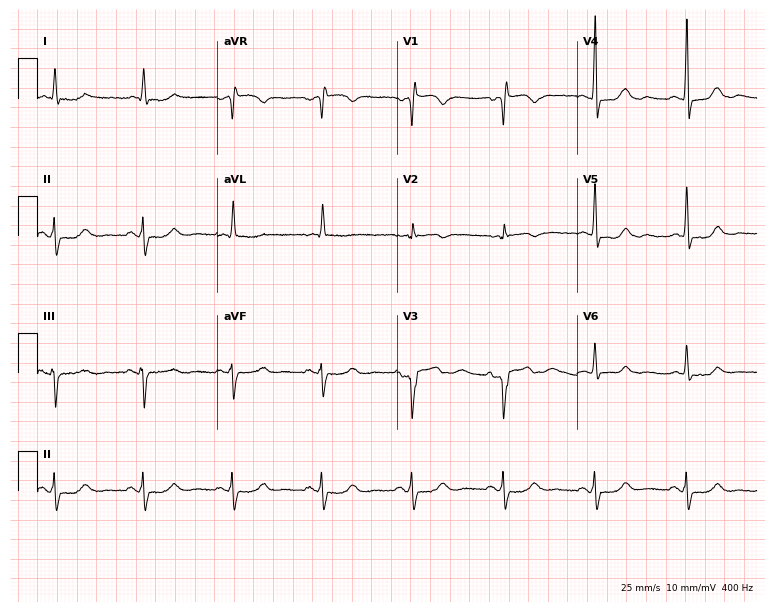
Standard 12-lead ECG recorded from an 82-year-old female patient. None of these six findings is recorded: first-degree AV block, right bundle branch block (RBBB), left bundle branch block (LBBB), sinus bradycardia, atrial fibrillation (AF), sinus tachycardia.